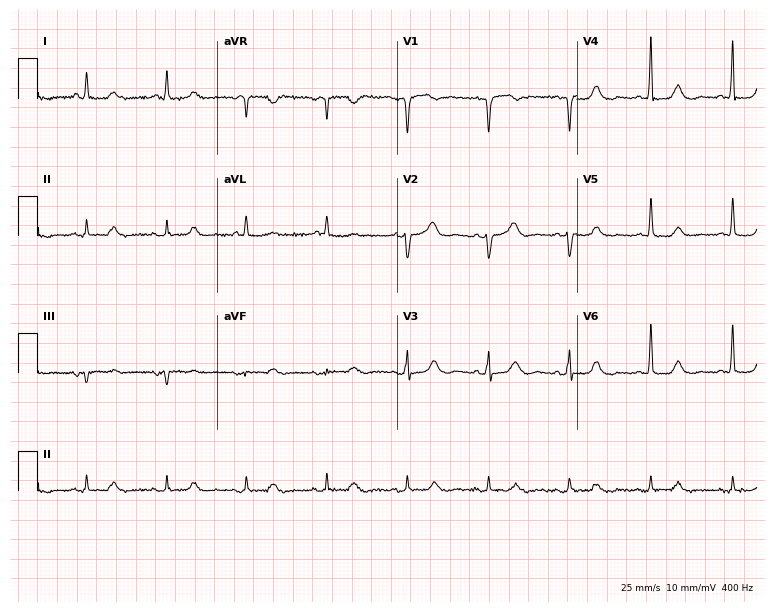
12-lead ECG (7.3-second recording at 400 Hz) from an 82-year-old female patient. Labelled as a normal ECG.